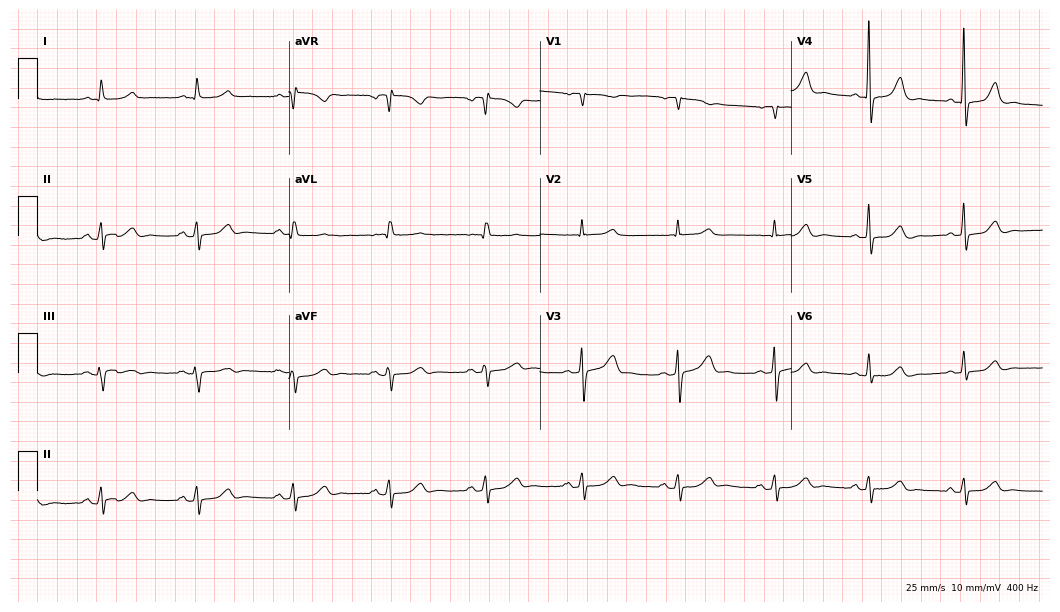
Standard 12-lead ECG recorded from a female patient, 66 years old (10.2-second recording at 400 Hz). Read as a normal ECG.